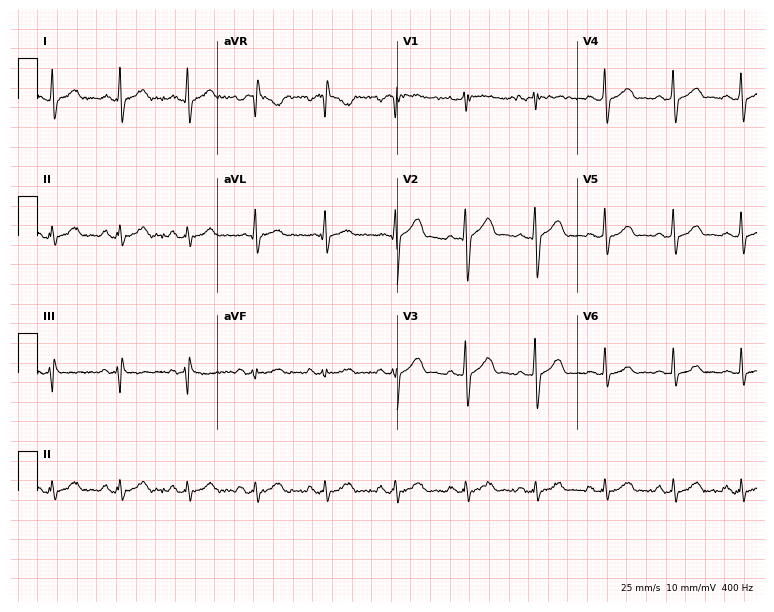
12-lead ECG from a male, 34 years old (7.3-second recording at 400 Hz). Recorded interpretation: within normal limits.